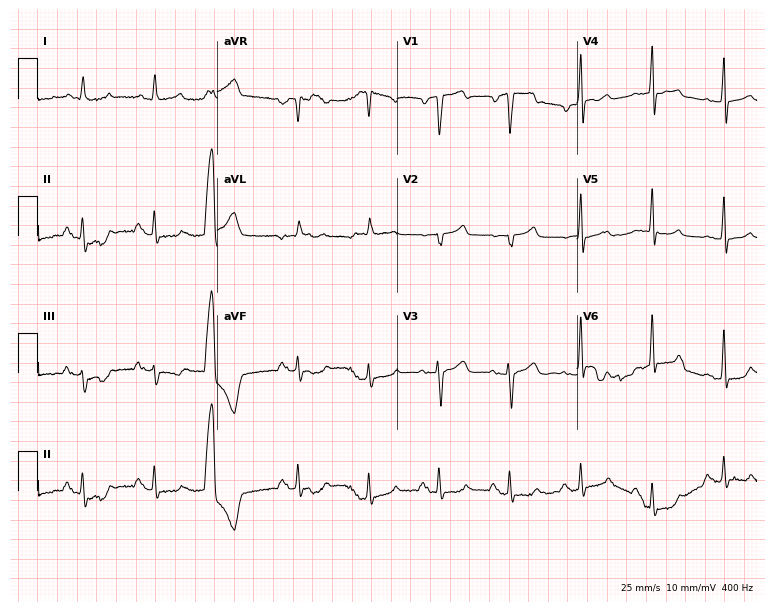
12-lead ECG from a male patient, 63 years old (7.3-second recording at 400 Hz). No first-degree AV block, right bundle branch block, left bundle branch block, sinus bradycardia, atrial fibrillation or sinus tachycardia recorded for this tracing. Findings outside these six are not listed.